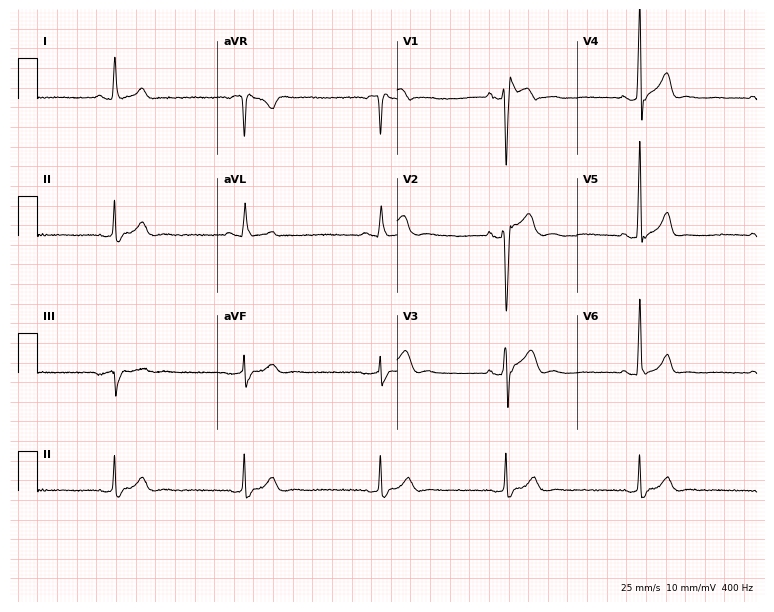
Electrocardiogram, a 32-year-old male patient. Interpretation includes sinus bradycardia (a sinus rate of 50 beats per minute or less).